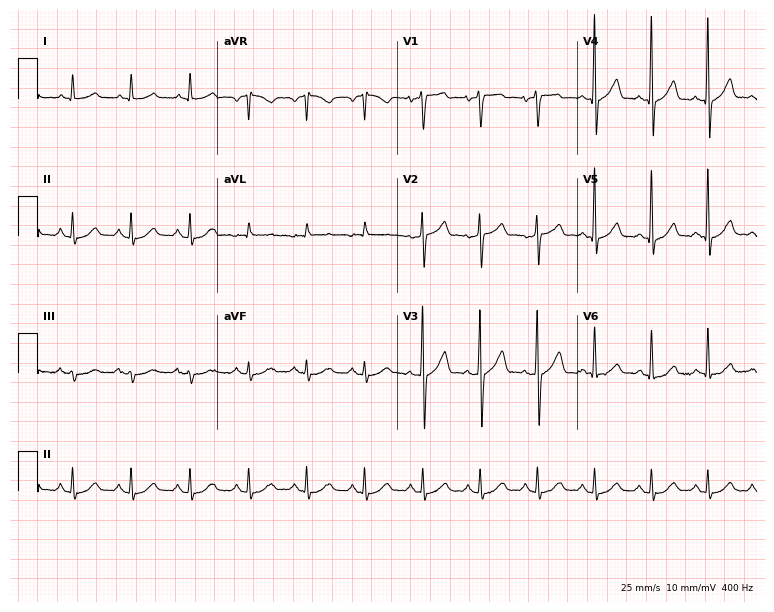
12-lead ECG (7.3-second recording at 400 Hz) from a man, 71 years old. Findings include sinus tachycardia (a sinus rate of 100 beats per minute or more).